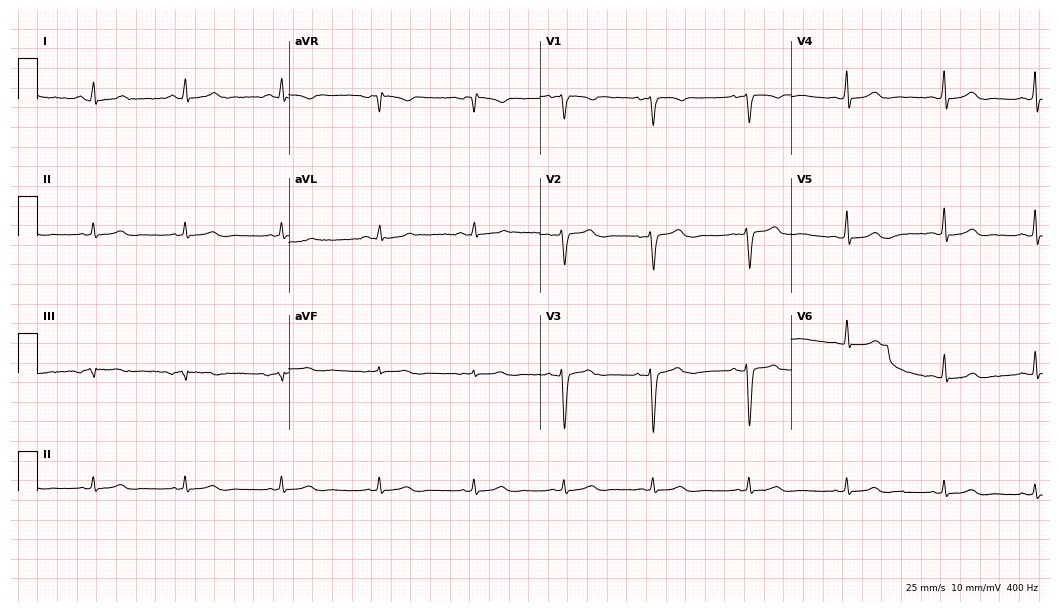
Standard 12-lead ECG recorded from a 29-year-old female patient. Read as a normal ECG.